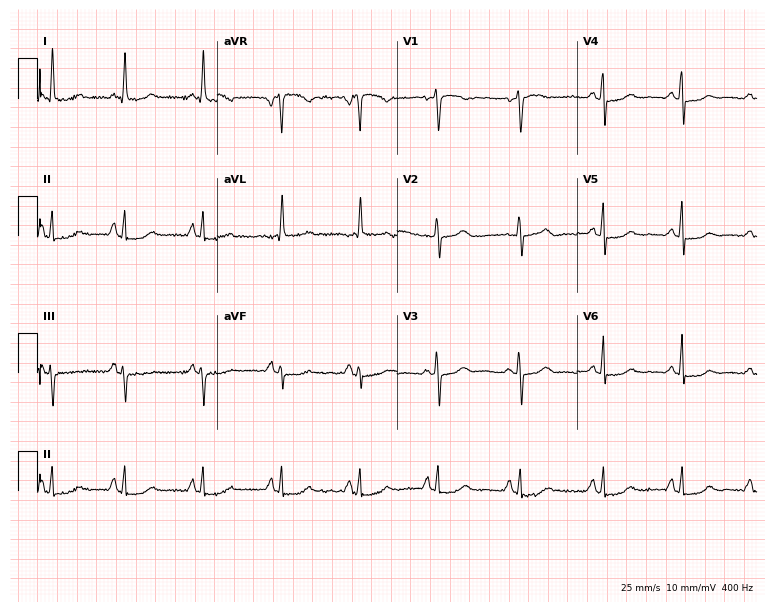
Resting 12-lead electrocardiogram. Patient: a female, 58 years old. None of these six findings is recorded: first-degree AV block, right bundle branch block, left bundle branch block, sinus bradycardia, atrial fibrillation, sinus tachycardia. Findings outside these six are not listed.